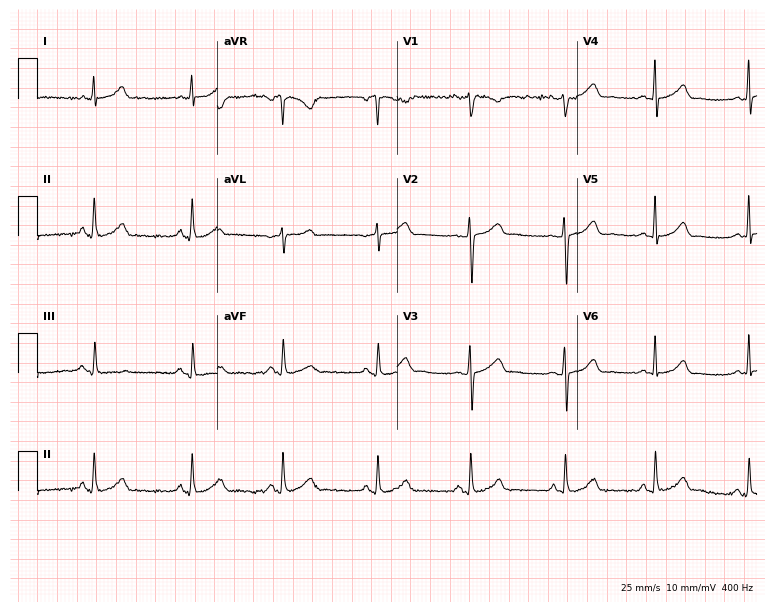
Standard 12-lead ECG recorded from a woman, 28 years old. Read as a normal ECG.